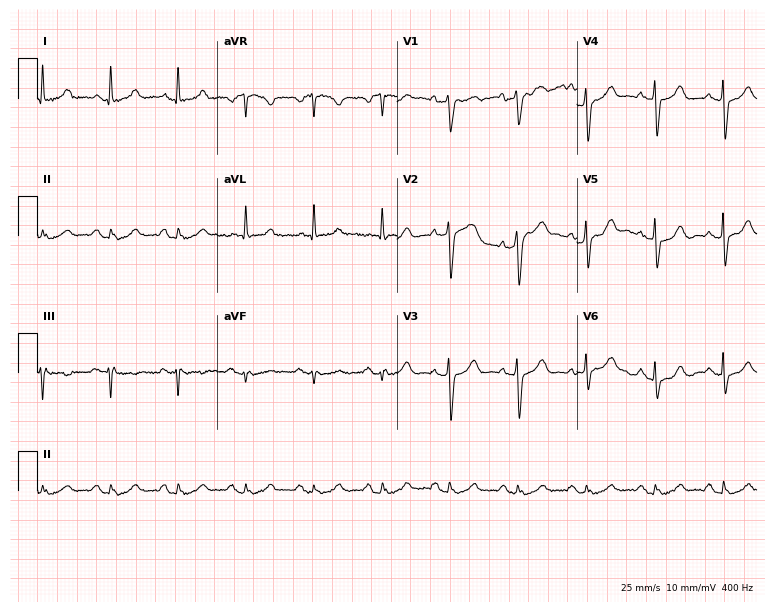
Standard 12-lead ECG recorded from a woman, 76 years old (7.3-second recording at 400 Hz). Read as a normal ECG.